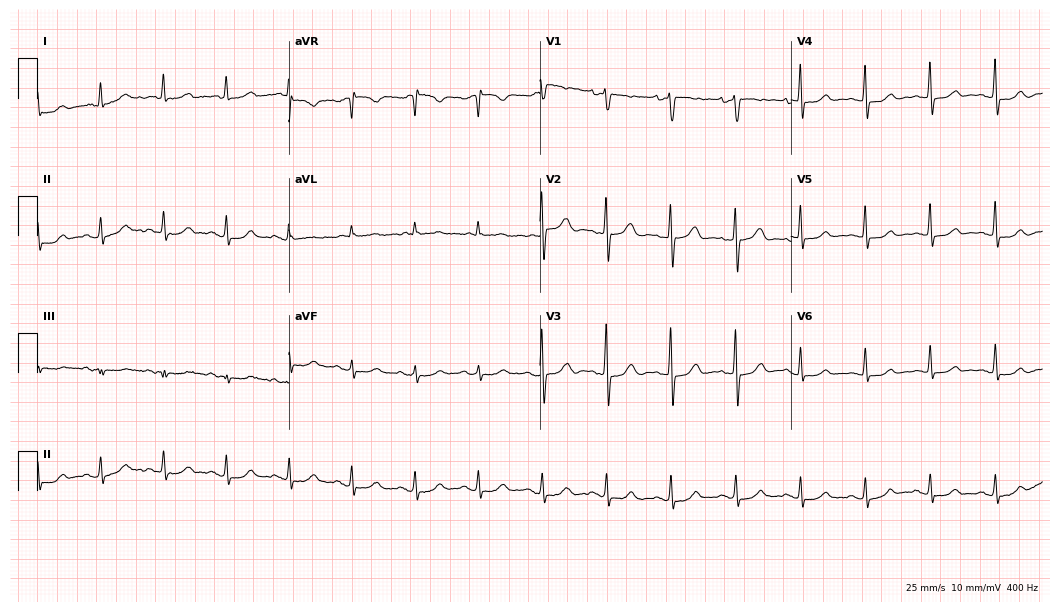
Resting 12-lead electrocardiogram. Patient: a female, 79 years old. Read as a normal ECG.